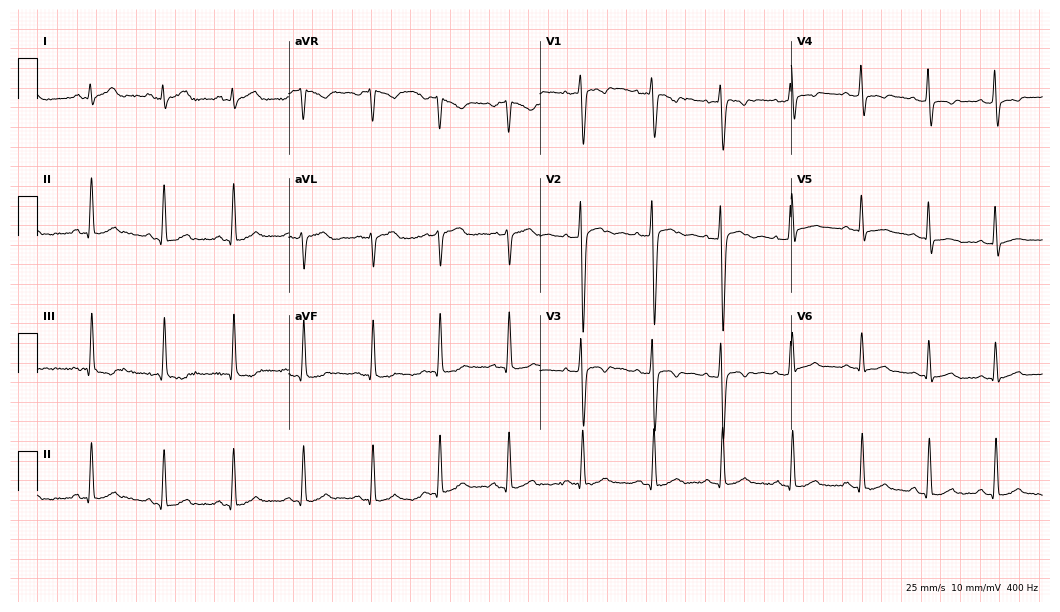
ECG — a female, 23 years old. Screened for six findings — first-degree AV block, right bundle branch block, left bundle branch block, sinus bradycardia, atrial fibrillation, sinus tachycardia — none is recorded.